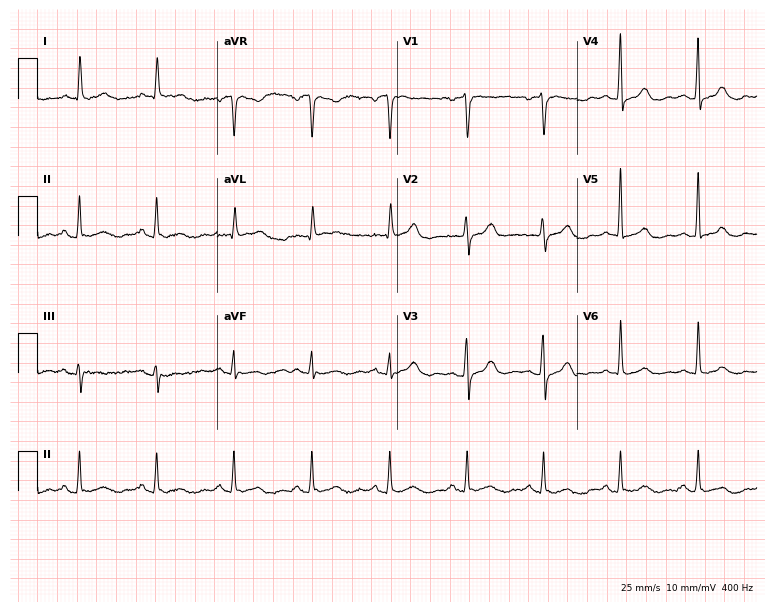
12-lead ECG from a woman, 78 years old (7.3-second recording at 400 Hz). Recorded interpretation: within normal limits.